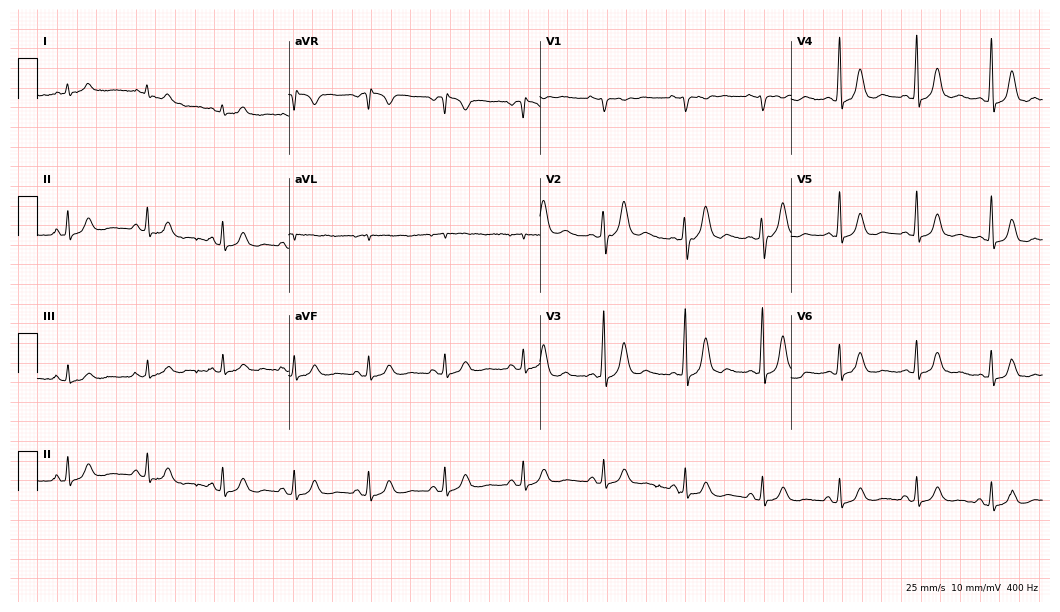
ECG (10.2-second recording at 400 Hz) — a female patient, 36 years old. Labelled as a normal ECG.